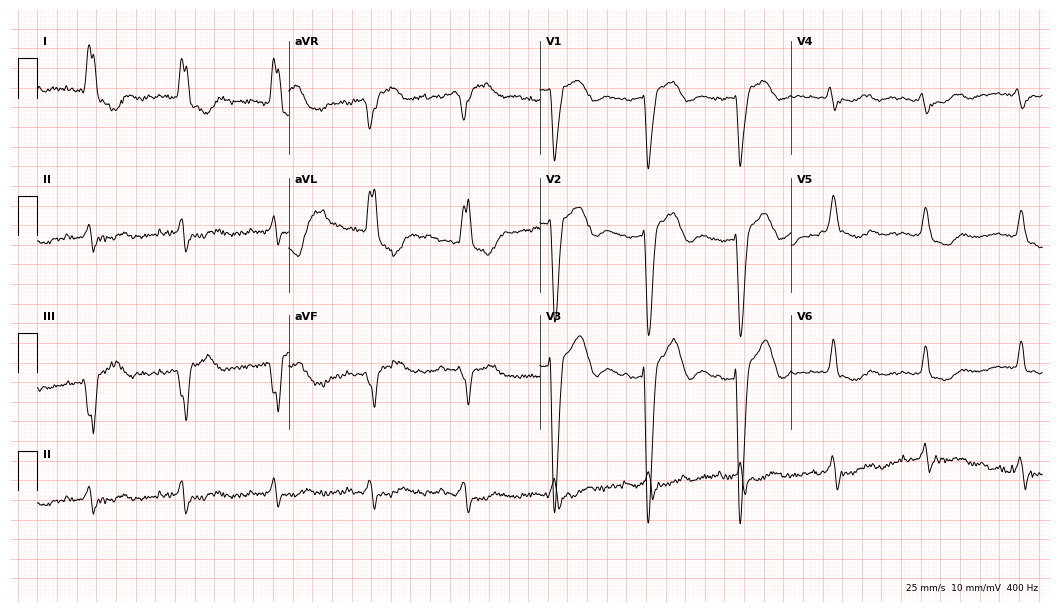
12-lead ECG from a female patient, 83 years old. Shows first-degree AV block, left bundle branch block (LBBB).